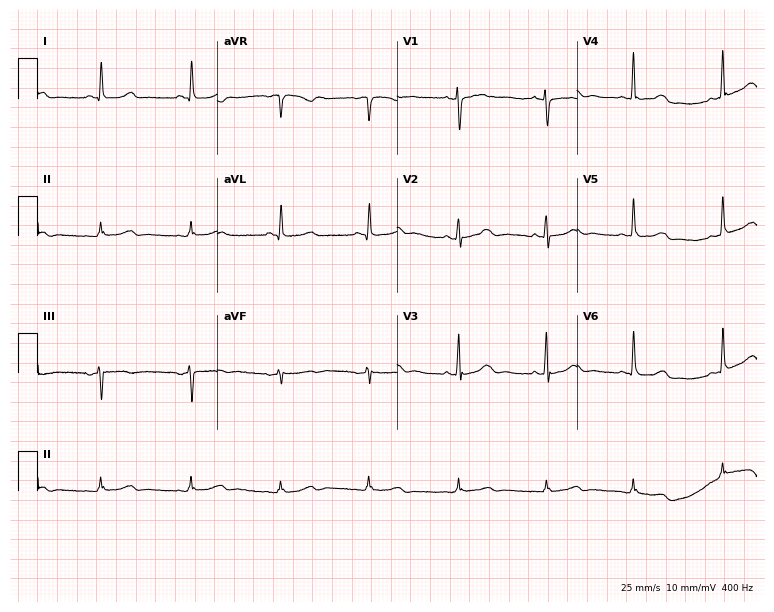
ECG (7.3-second recording at 400 Hz) — a female patient, 57 years old. Screened for six findings — first-degree AV block, right bundle branch block, left bundle branch block, sinus bradycardia, atrial fibrillation, sinus tachycardia — none is recorded. Only these six findings were labelled.